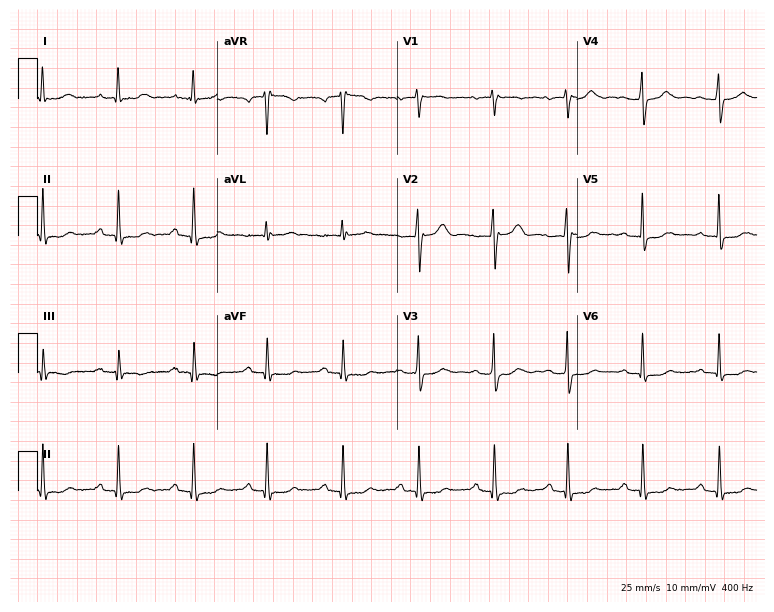
12-lead ECG from a 48-year-old female. Screened for six findings — first-degree AV block, right bundle branch block, left bundle branch block, sinus bradycardia, atrial fibrillation, sinus tachycardia — none is recorded. Findings outside these six are not listed.